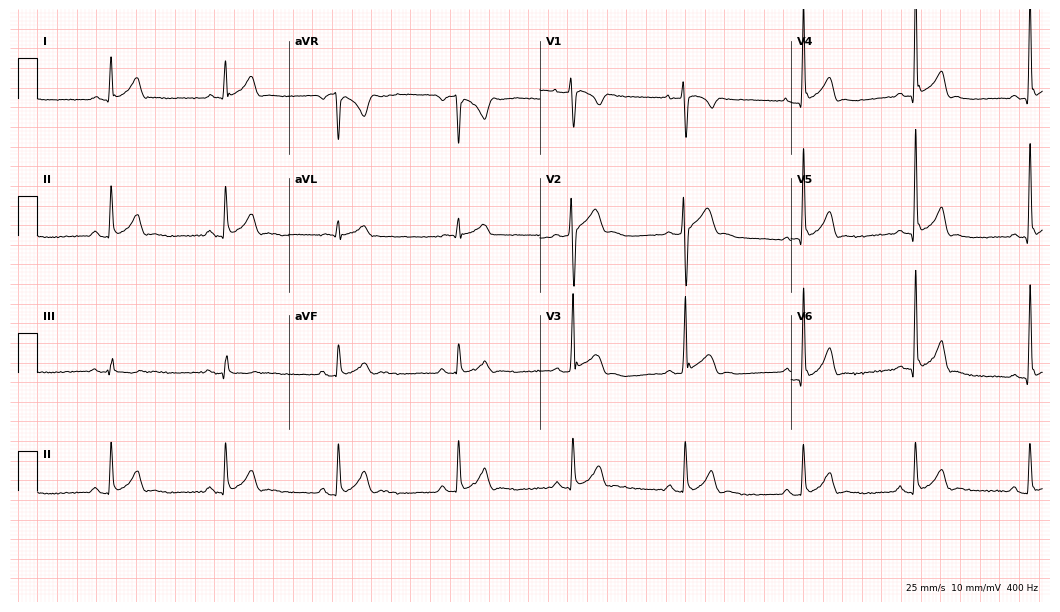
Electrocardiogram, a man, 19 years old. Of the six screened findings (first-degree AV block, right bundle branch block (RBBB), left bundle branch block (LBBB), sinus bradycardia, atrial fibrillation (AF), sinus tachycardia), none is recorded. Other findings, if any, are not listed.